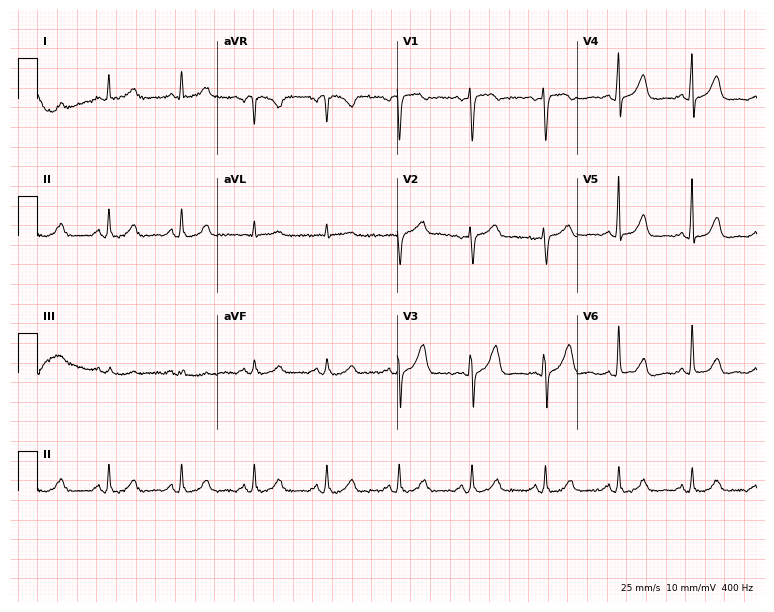
12-lead ECG from a 75-year-old female patient. Recorded interpretation: within normal limits.